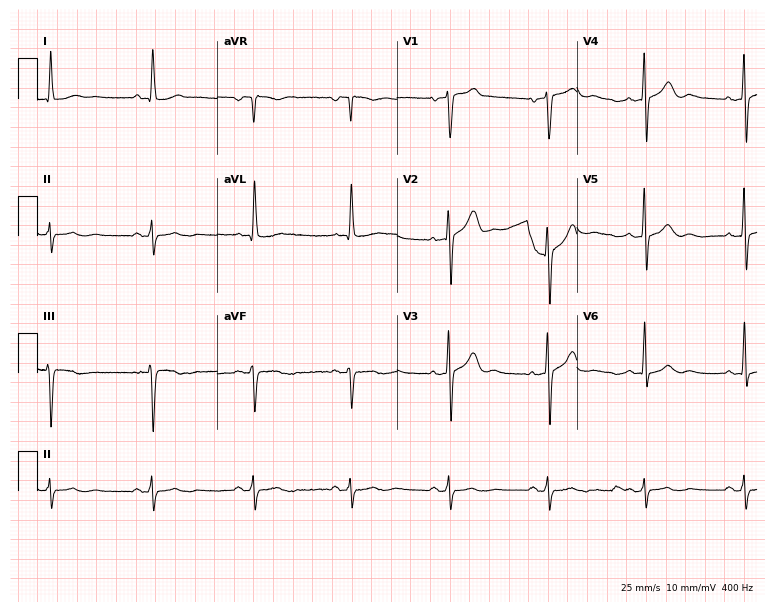
Electrocardiogram, a male, 67 years old. Of the six screened findings (first-degree AV block, right bundle branch block, left bundle branch block, sinus bradycardia, atrial fibrillation, sinus tachycardia), none is recorded.